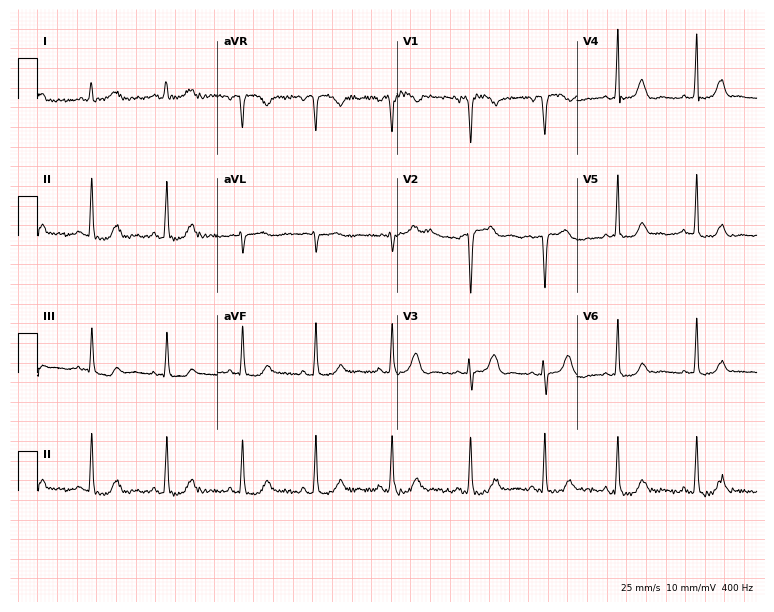
Electrocardiogram (7.3-second recording at 400 Hz), a female patient, 49 years old. Overall reading on record: normal ECG.